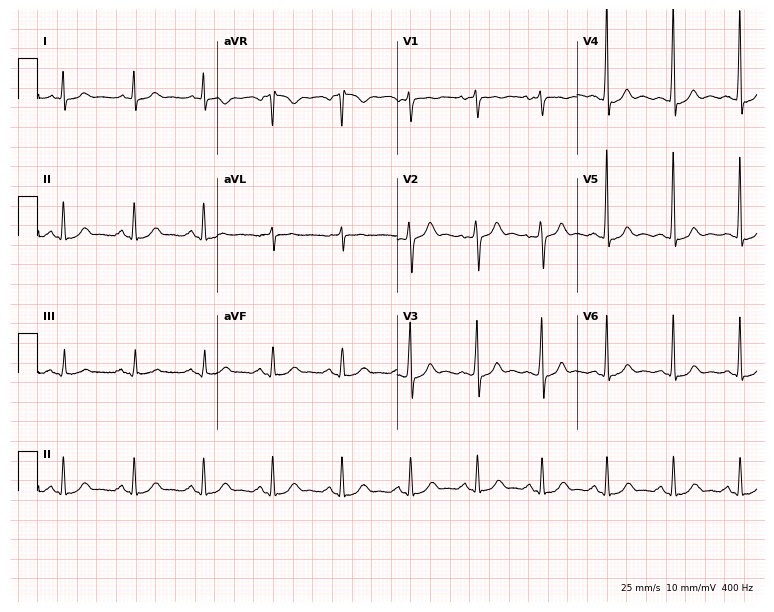
12-lead ECG from a male patient, 40 years old. Labelled as a normal ECG.